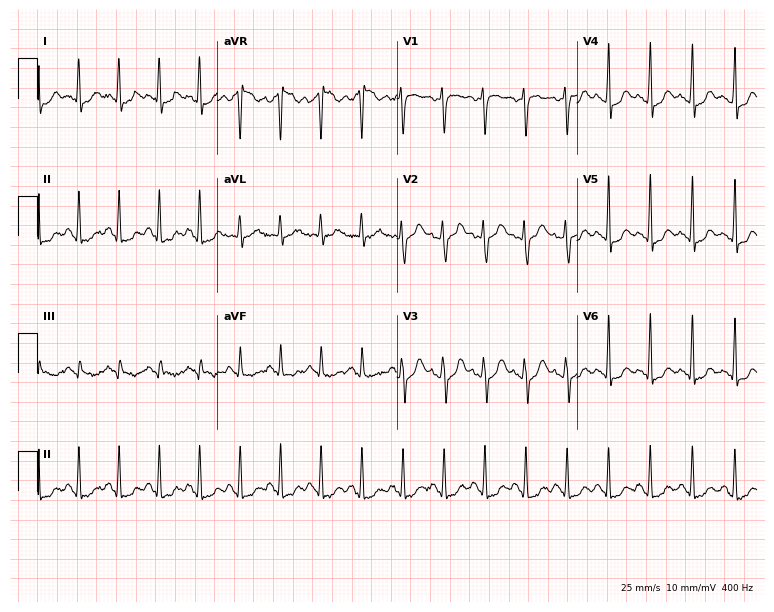
Resting 12-lead electrocardiogram. Patient: a 34-year-old female. The tracing shows sinus tachycardia (a sinus rate of 100 beats per minute or more).